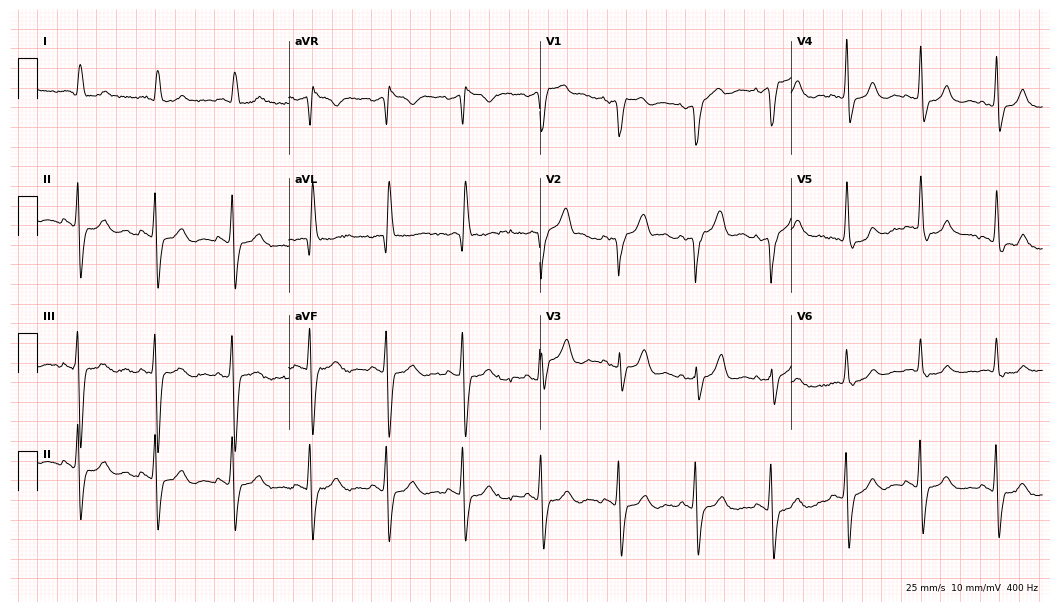
Electrocardiogram (10.2-second recording at 400 Hz), a male, 66 years old. Of the six screened findings (first-degree AV block, right bundle branch block (RBBB), left bundle branch block (LBBB), sinus bradycardia, atrial fibrillation (AF), sinus tachycardia), none is recorded.